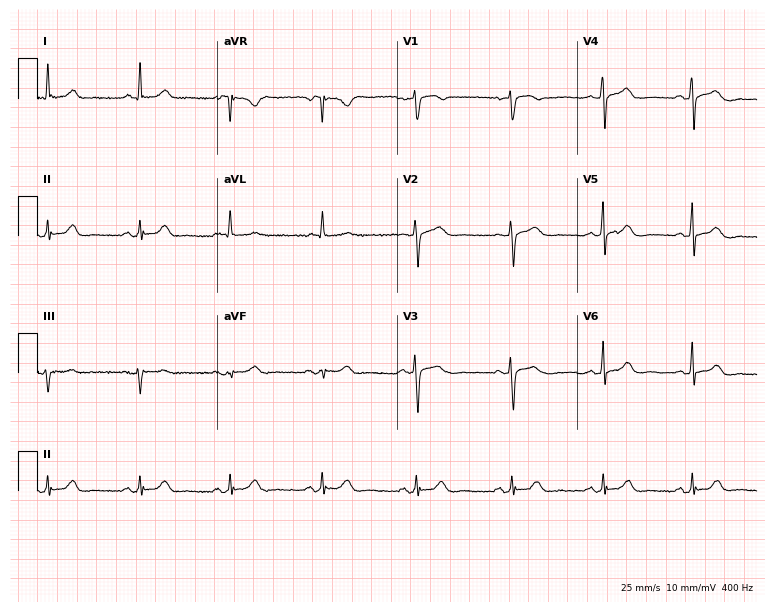
Resting 12-lead electrocardiogram (7.3-second recording at 400 Hz). Patient: a female, 57 years old. Read as a normal ECG.